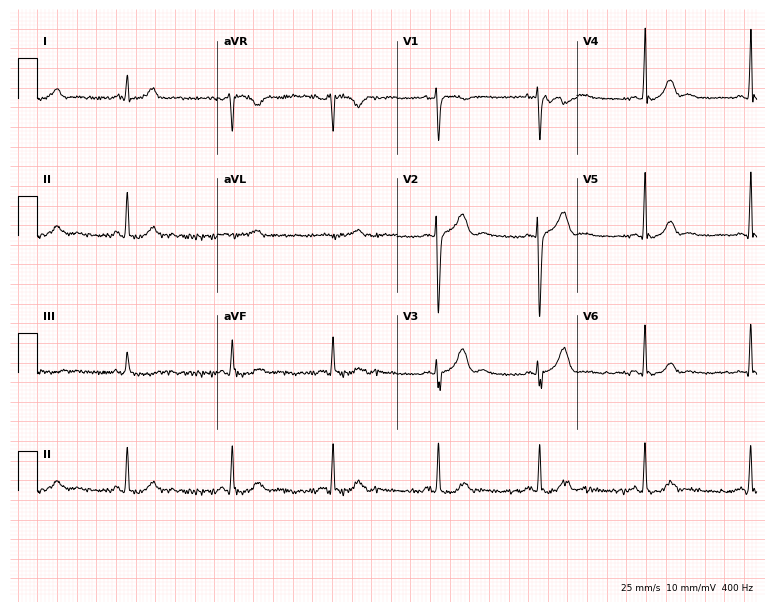
12-lead ECG from a woman, 29 years old. Labelled as a normal ECG.